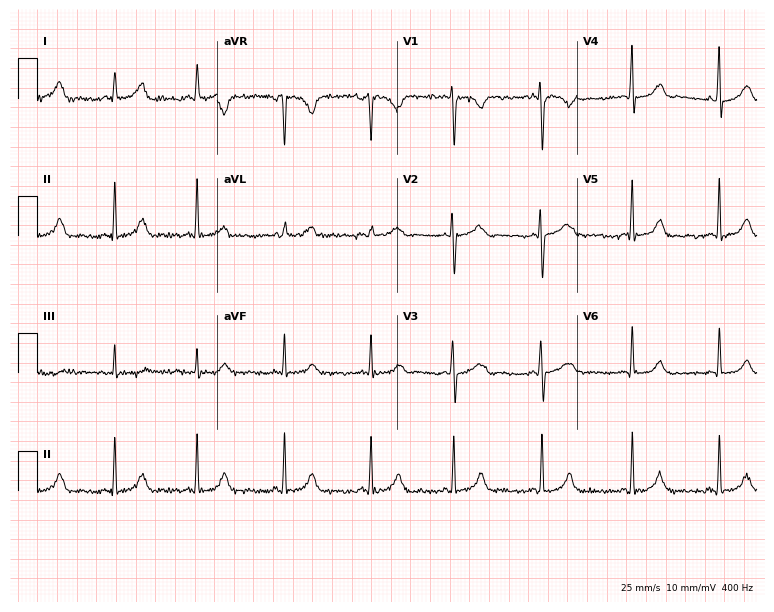
12-lead ECG from a female, 33 years old. Recorded interpretation: within normal limits.